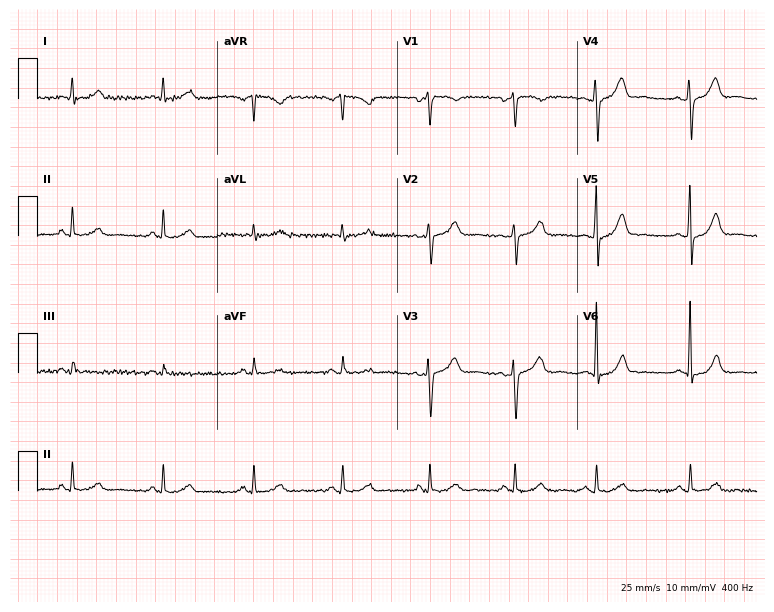
12-lead ECG from a male patient, 49 years old. Recorded interpretation: within normal limits.